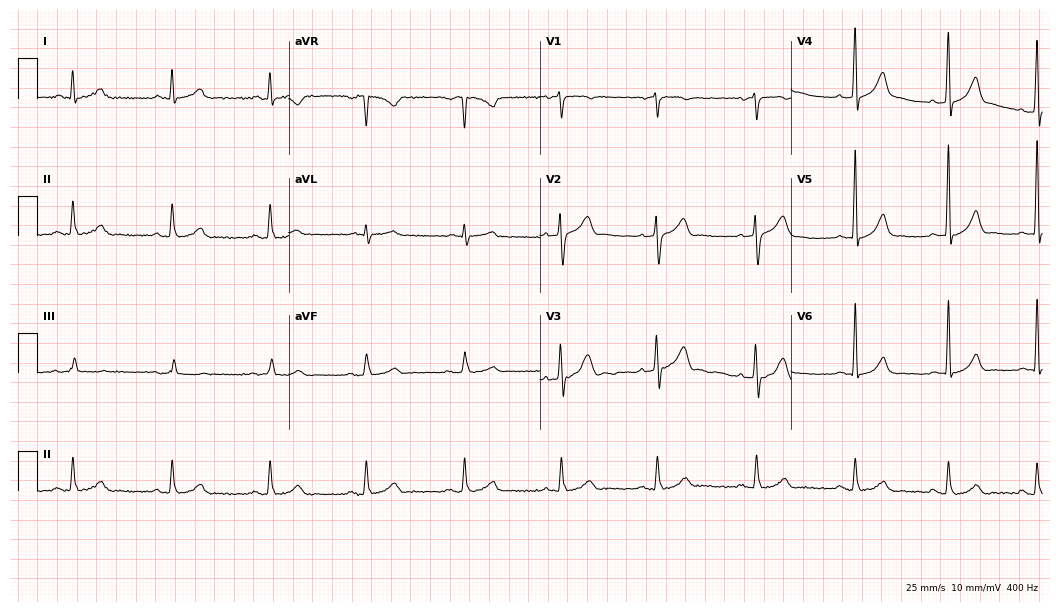
12-lead ECG from a male, 57 years old. Labelled as a normal ECG.